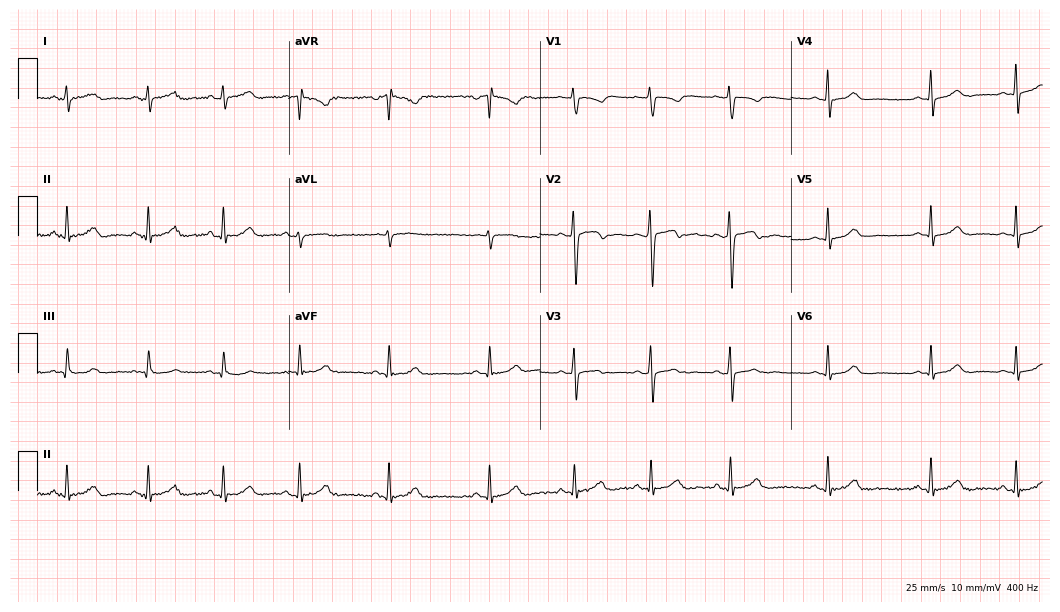
ECG (10.2-second recording at 400 Hz) — a 17-year-old female. Labelled as a normal ECG.